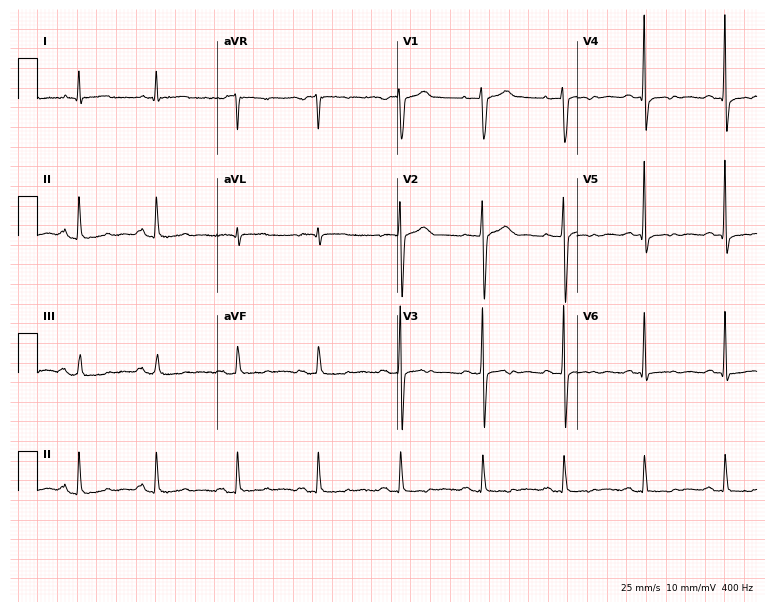
12-lead ECG from a 55-year-old man. Screened for six findings — first-degree AV block, right bundle branch block, left bundle branch block, sinus bradycardia, atrial fibrillation, sinus tachycardia — none is recorded. Findings outside these six are not listed.